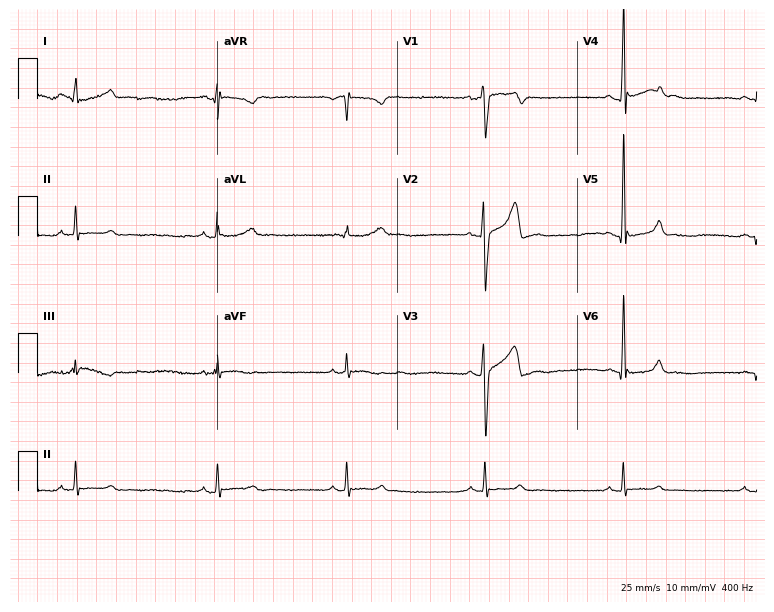
Resting 12-lead electrocardiogram (7.3-second recording at 400 Hz). Patient: a male, 20 years old. None of these six findings is recorded: first-degree AV block, right bundle branch block, left bundle branch block, sinus bradycardia, atrial fibrillation, sinus tachycardia. Other findings, if any, are not listed.